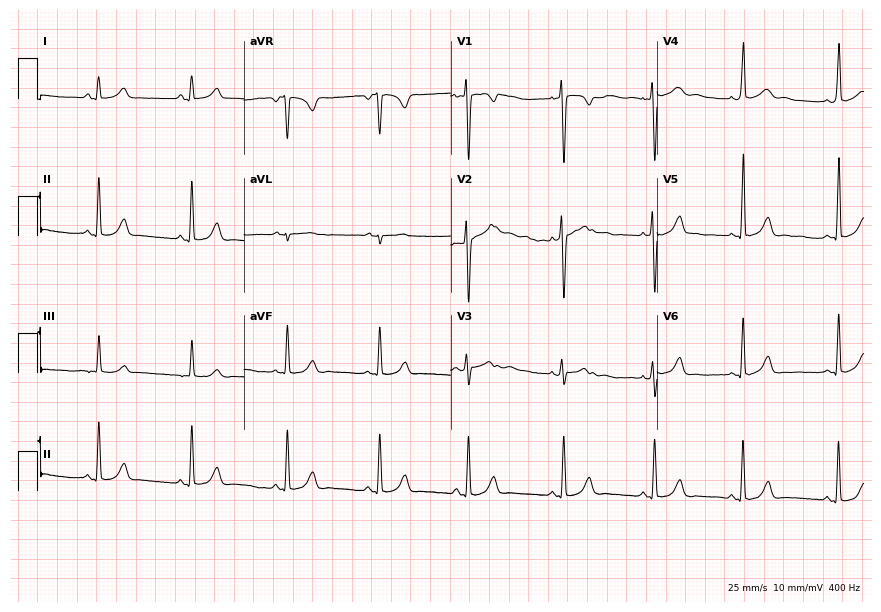
Standard 12-lead ECG recorded from an 18-year-old female patient. Read as a normal ECG.